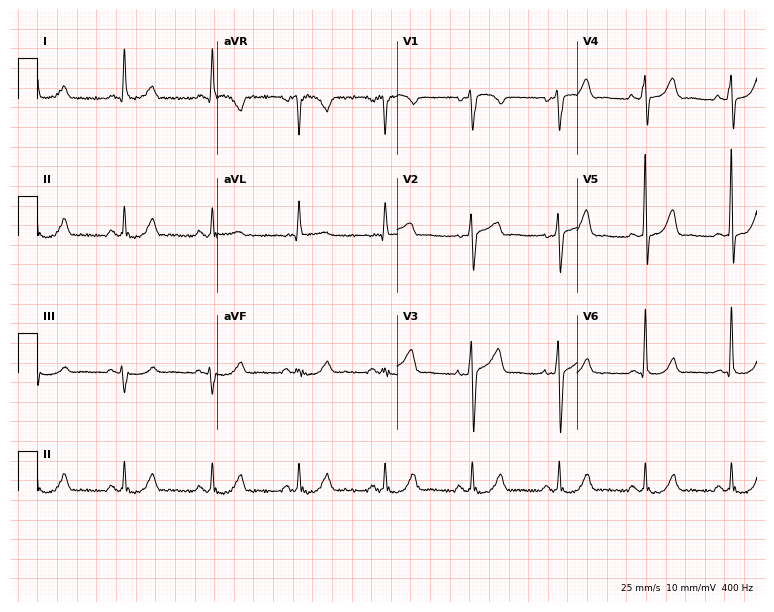
12-lead ECG (7.3-second recording at 400 Hz) from a 55-year-old male. Screened for six findings — first-degree AV block, right bundle branch block, left bundle branch block, sinus bradycardia, atrial fibrillation, sinus tachycardia — none is recorded. Only these six findings were labelled.